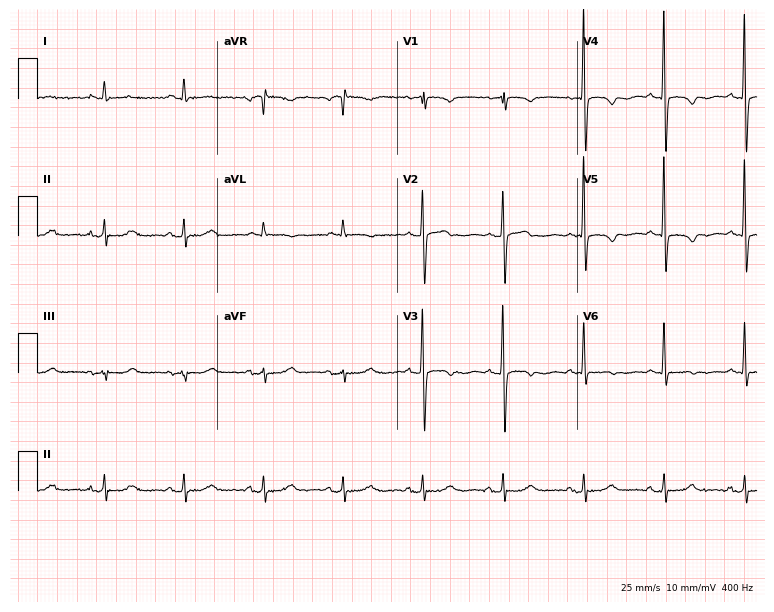
ECG — a 77-year-old female patient. Screened for six findings — first-degree AV block, right bundle branch block, left bundle branch block, sinus bradycardia, atrial fibrillation, sinus tachycardia — none is recorded.